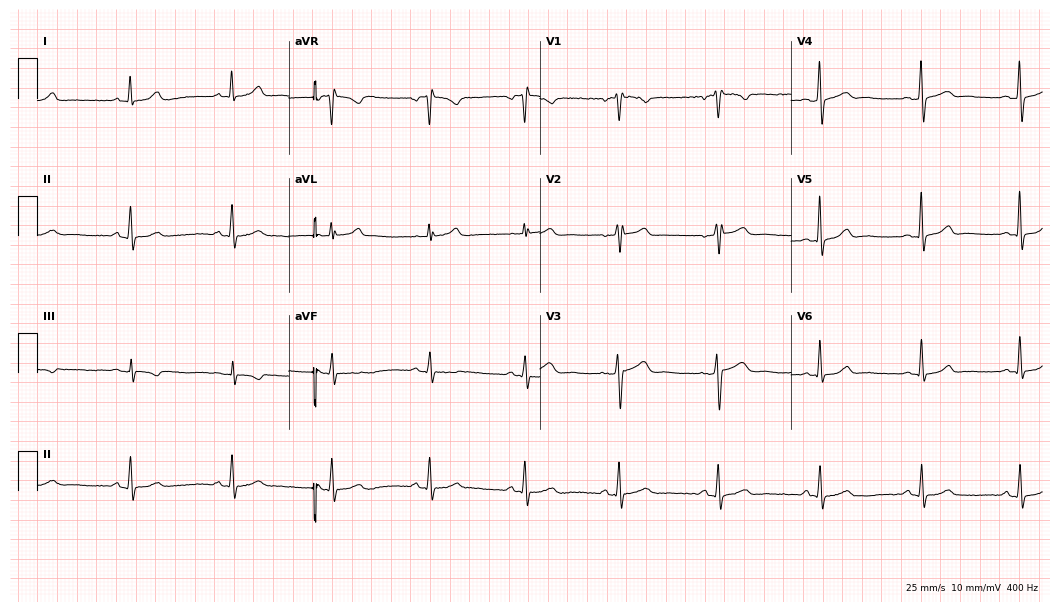
12-lead ECG from a female, 39 years old (10.2-second recording at 400 Hz). Recorded interpretation: within normal limits.